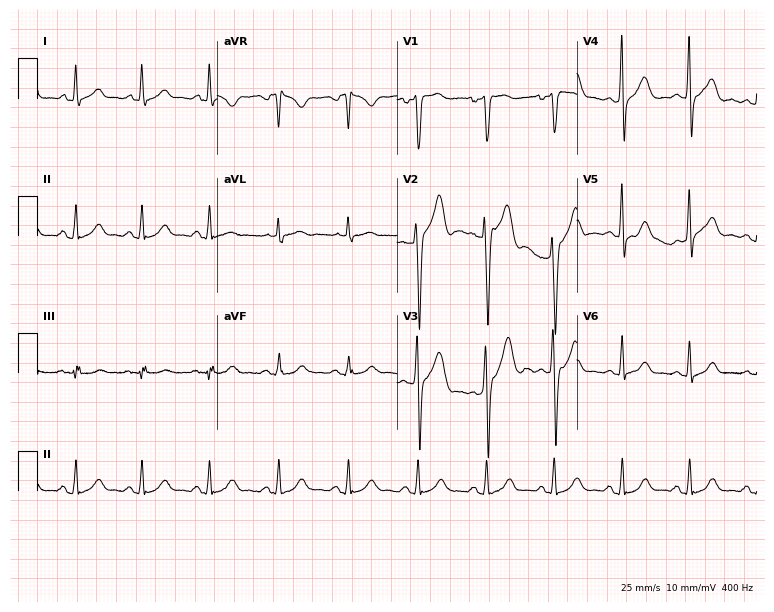
12-lead ECG from a man, 49 years old. No first-degree AV block, right bundle branch block, left bundle branch block, sinus bradycardia, atrial fibrillation or sinus tachycardia recorded for this tracing.